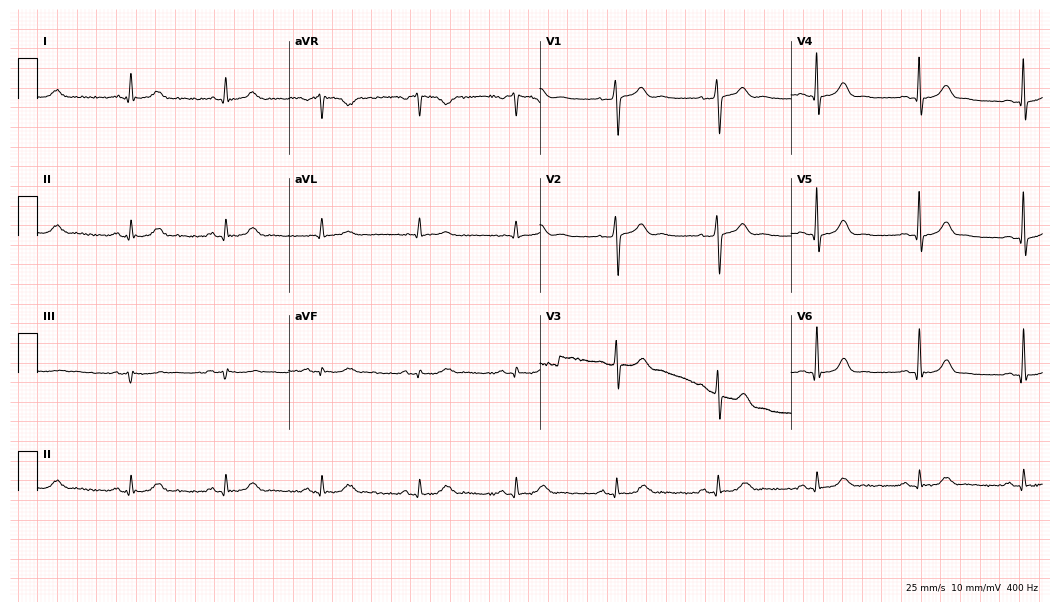
Resting 12-lead electrocardiogram (10.2-second recording at 400 Hz). Patient: a man, 47 years old. Read as a normal ECG.